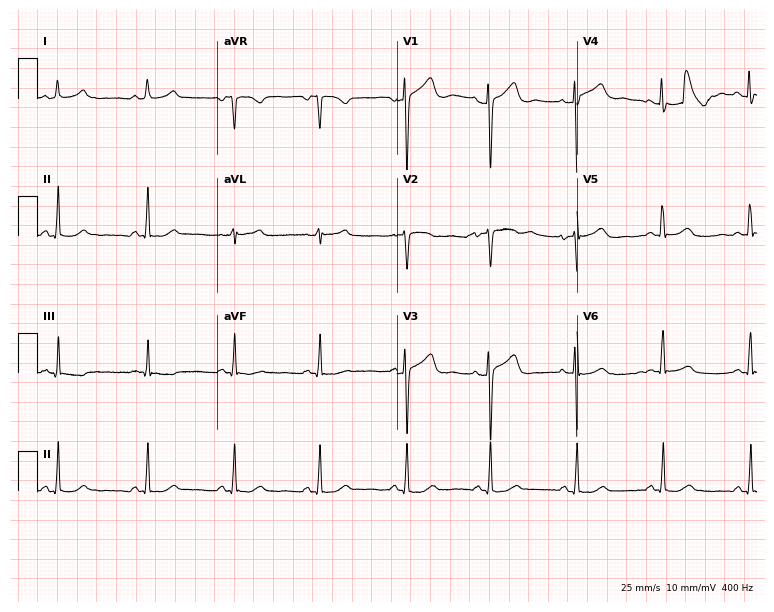
ECG (7.3-second recording at 400 Hz) — a woman, 33 years old. Labelled as a normal ECG.